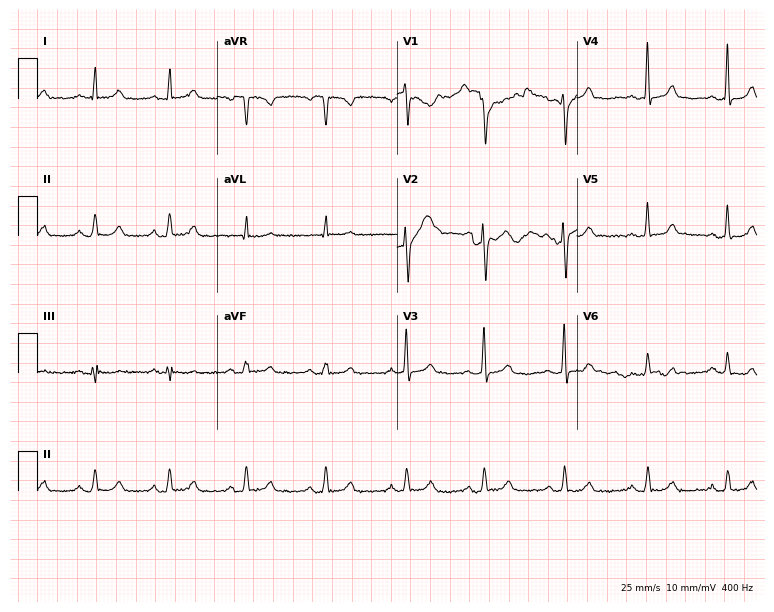
ECG — a 50-year-old female. Screened for six findings — first-degree AV block, right bundle branch block (RBBB), left bundle branch block (LBBB), sinus bradycardia, atrial fibrillation (AF), sinus tachycardia — none is recorded.